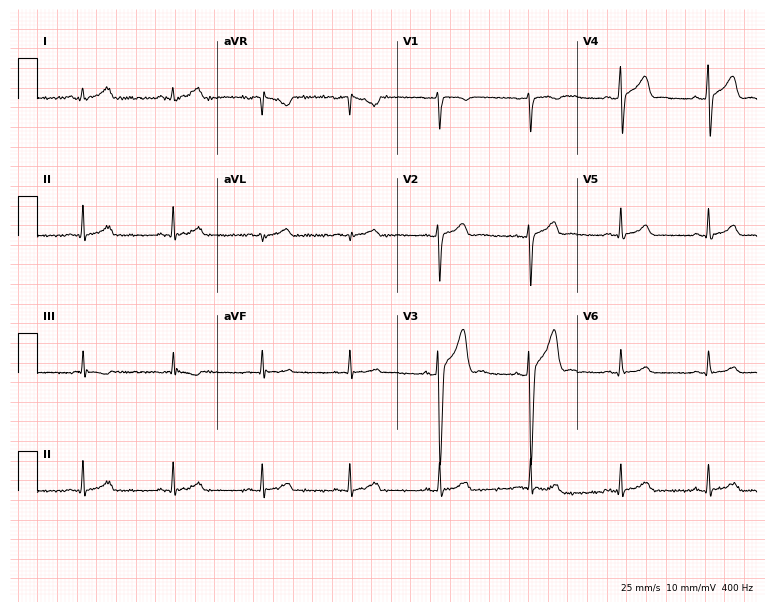
Electrocardiogram, a man, 28 years old. Of the six screened findings (first-degree AV block, right bundle branch block, left bundle branch block, sinus bradycardia, atrial fibrillation, sinus tachycardia), none is recorded. Only these six findings were labelled.